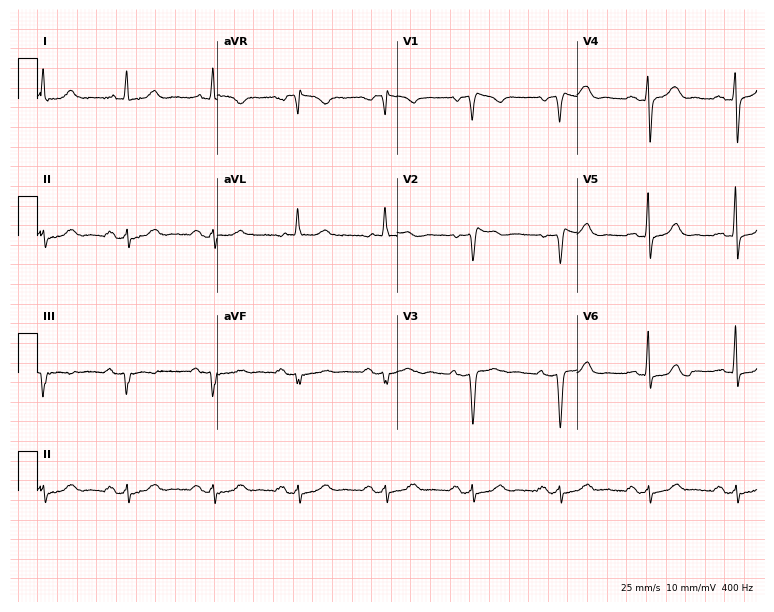
12-lead ECG from a 66-year-old woman. No first-degree AV block, right bundle branch block (RBBB), left bundle branch block (LBBB), sinus bradycardia, atrial fibrillation (AF) or sinus tachycardia recorded for this tracing.